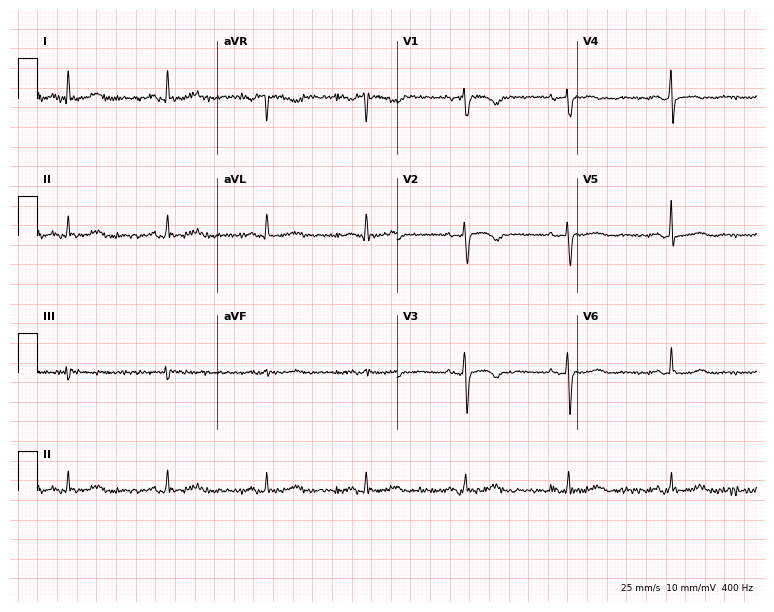
ECG (7.3-second recording at 400 Hz) — a female, 60 years old. Screened for six findings — first-degree AV block, right bundle branch block, left bundle branch block, sinus bradycardia, atrial fibrillation, sinus tachycardia — none is recorded. Only these six findings were labelled.